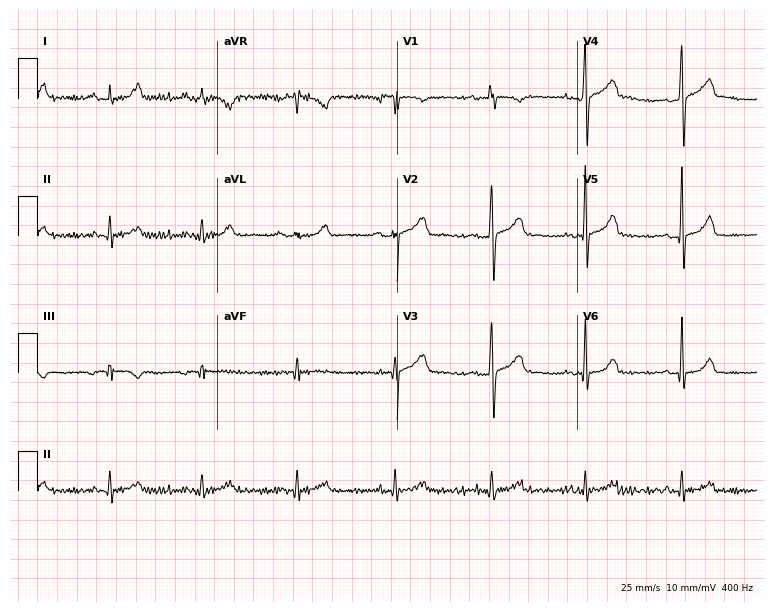
Electrocardiogram (7.3-second recording at 400 Hz), a male, 33 years old. Overall reading on record: normal ECG.